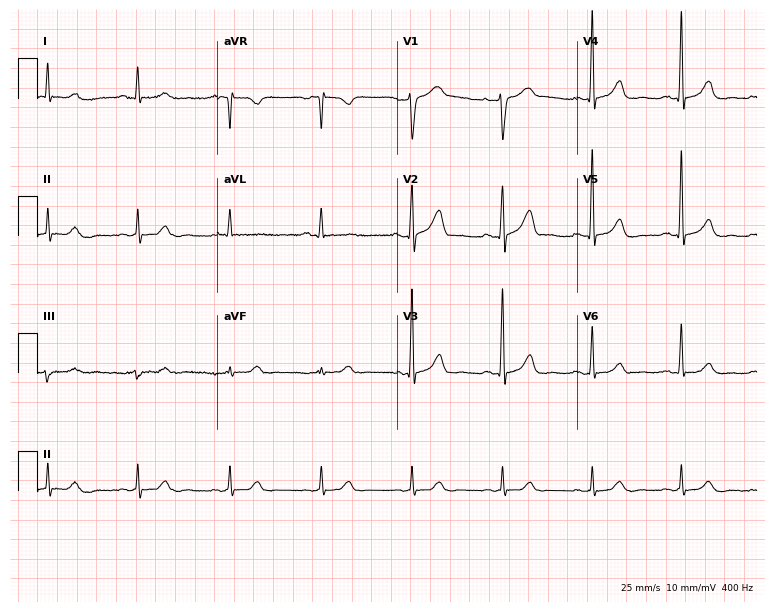
Electrocardiogram (7.3-second recording at 400 Hz), a male, 69 years old. Of the six screened findings (first-degree AV block, right bundle branch block (RBBB), left bundle branch block (LBBB), sinus bradycardia, atrial fibrillation (AF), sinus tachycardia), none is recorded.